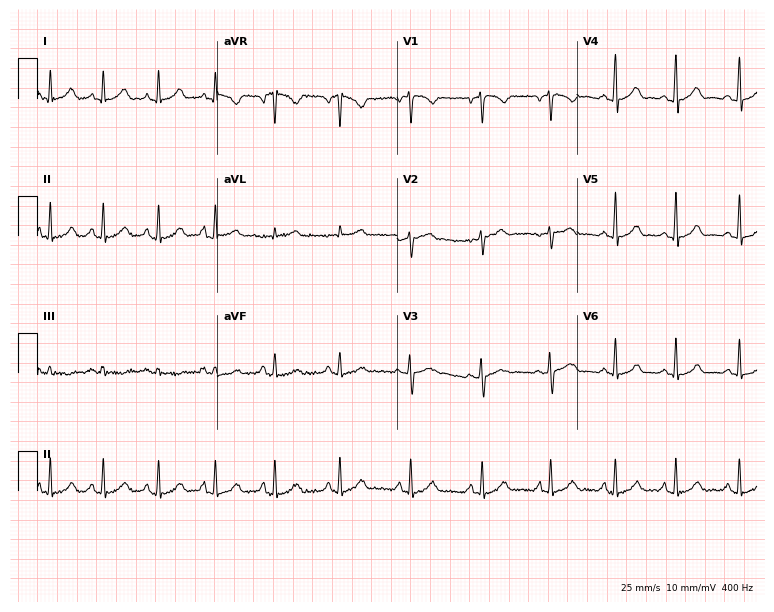
Resting 12-lead electrocardiogram. Patient: a 24-year-old woman. None of these six findings is recorded: first-degree AV block, right bundle branch block, left bundle branch block, sinus bradycardia, atrial fibrillation, sinus tachycardia. Only these six findings were labelled.